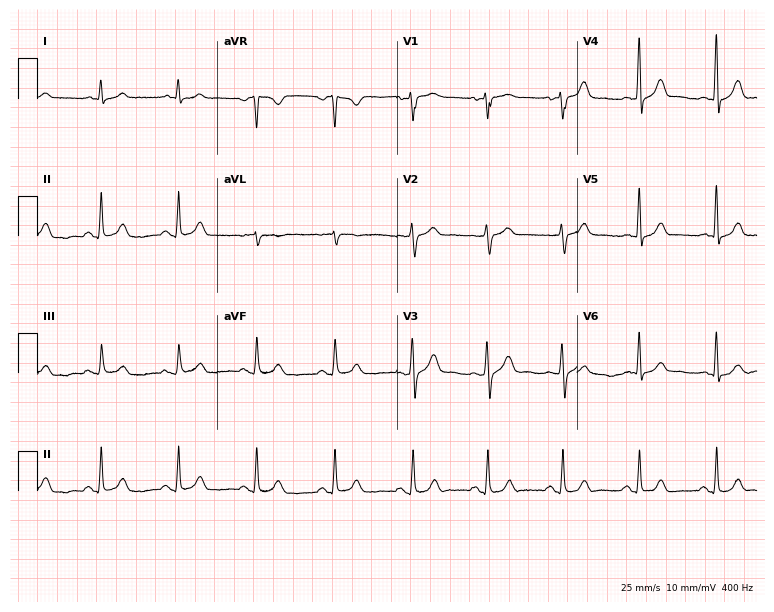
Electrocardiogram, a 56-year-old female patient. Overall reading on record: normal ECG.